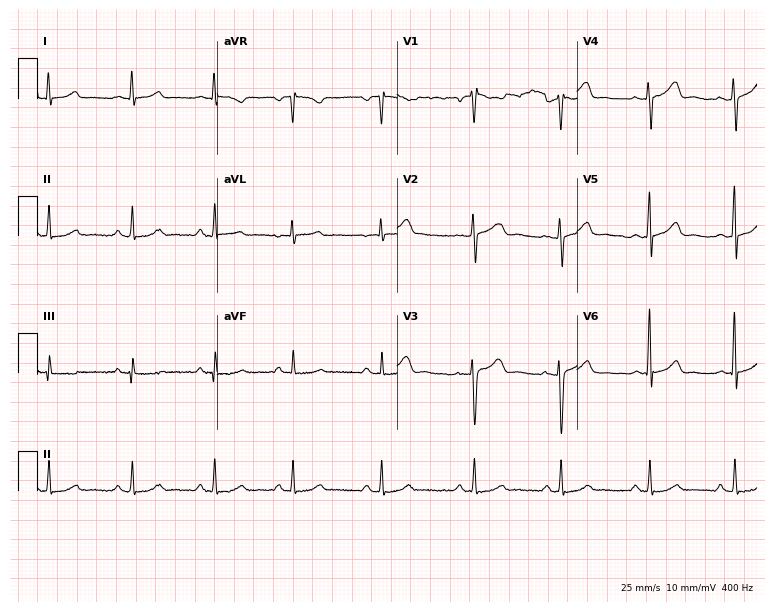
Standard 12-lead ECG recorded from a woman, 42 years old (7.3-second recording at 400 Hz). Read as a normal ECG.